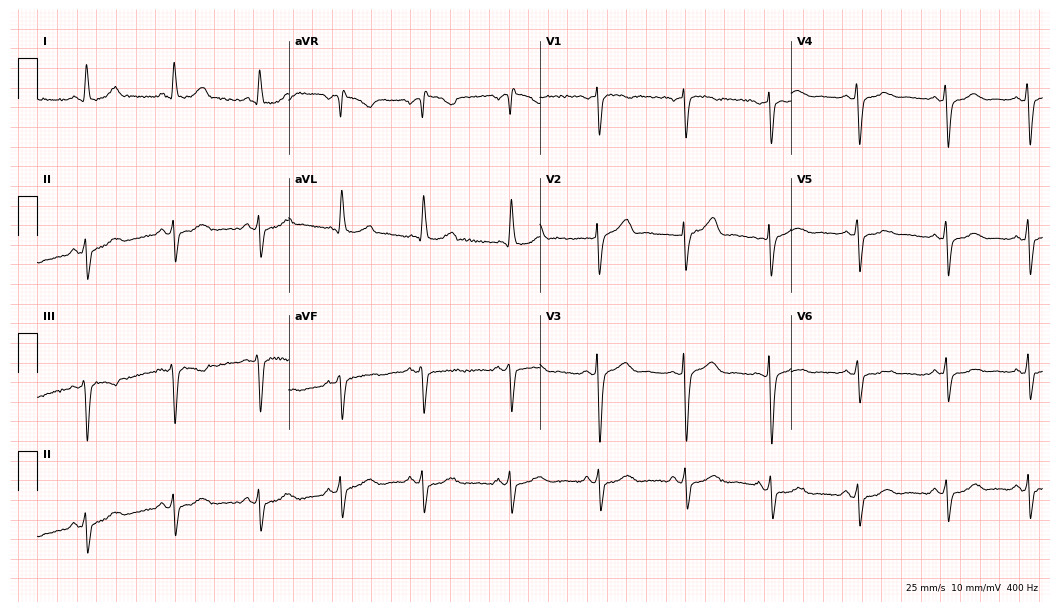
12-lead ECG from a woman, 65 years old. Screened for six findings — first-degree AV block, right bundle branch block, left bundle branch block, sinus bradycardia, atrial fibrillation, sinus tachycardia — none is recorded. Only these six findings were labelled.